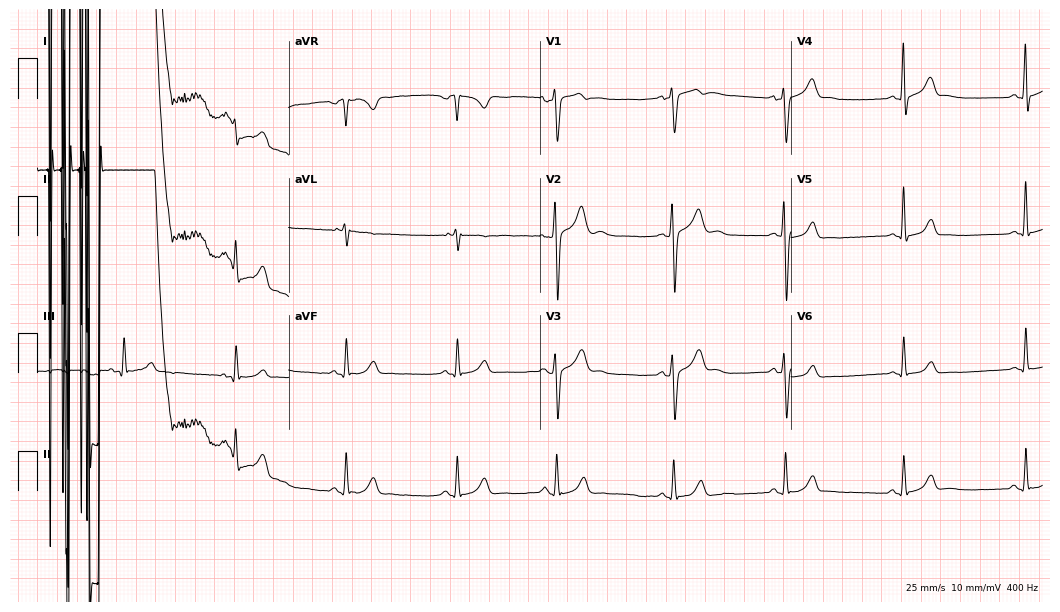
12-lead ECG (10.2-second recording at 400 Hz) from a 25-year-old man. Screened for six findings — first-degree AV block, right bundle branch block, left bundle branch block, sinus bradycardia, atrial fibrillation, sinus tachycardia — none is recorded. Other findings, if any, are not listed.